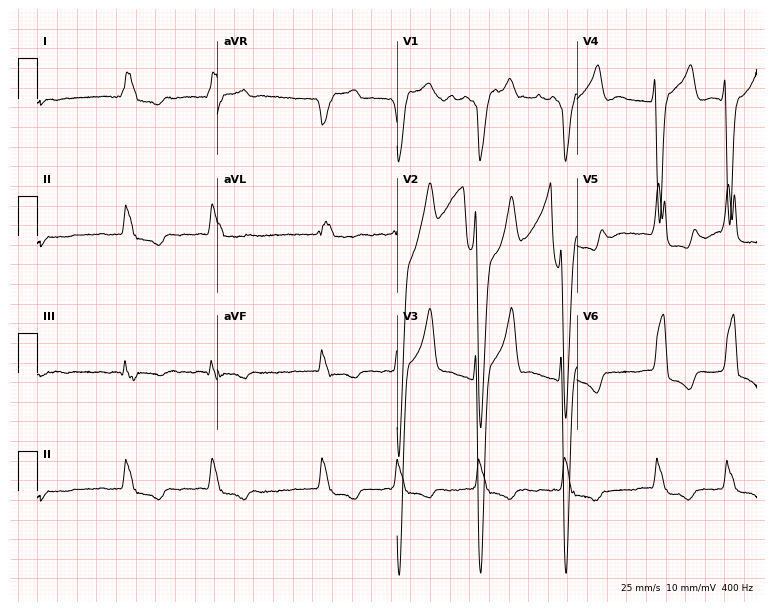
12-lead ECG from a female patient, 74 years old (7.3-second recording at 400 Hz). Shows left bundle branch block, atrial fibrillation.